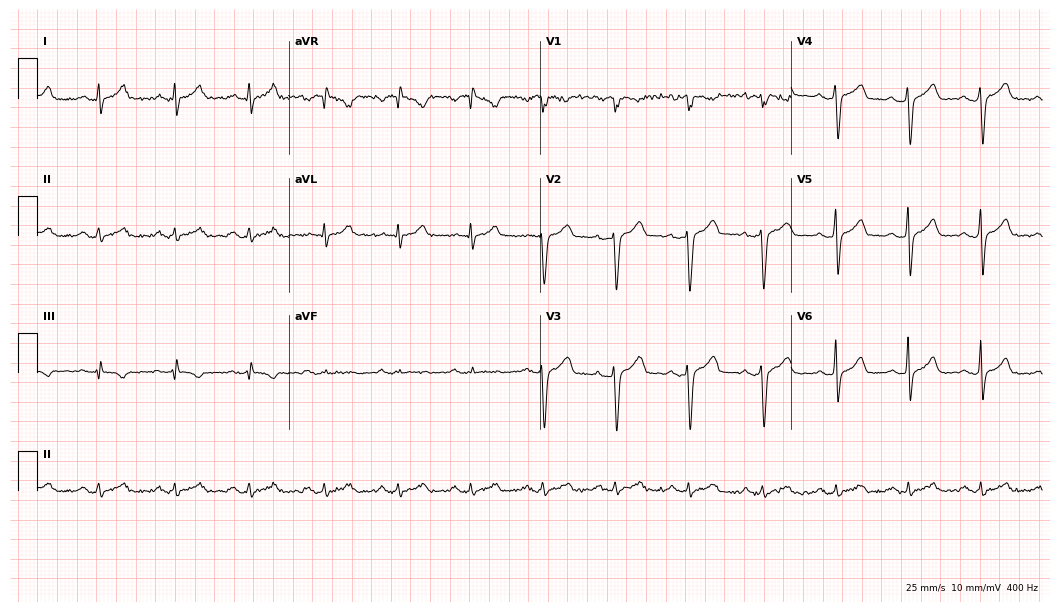
Standard 12-lead ECG recorded from a man, 55 years old. Read as a normal ECG.